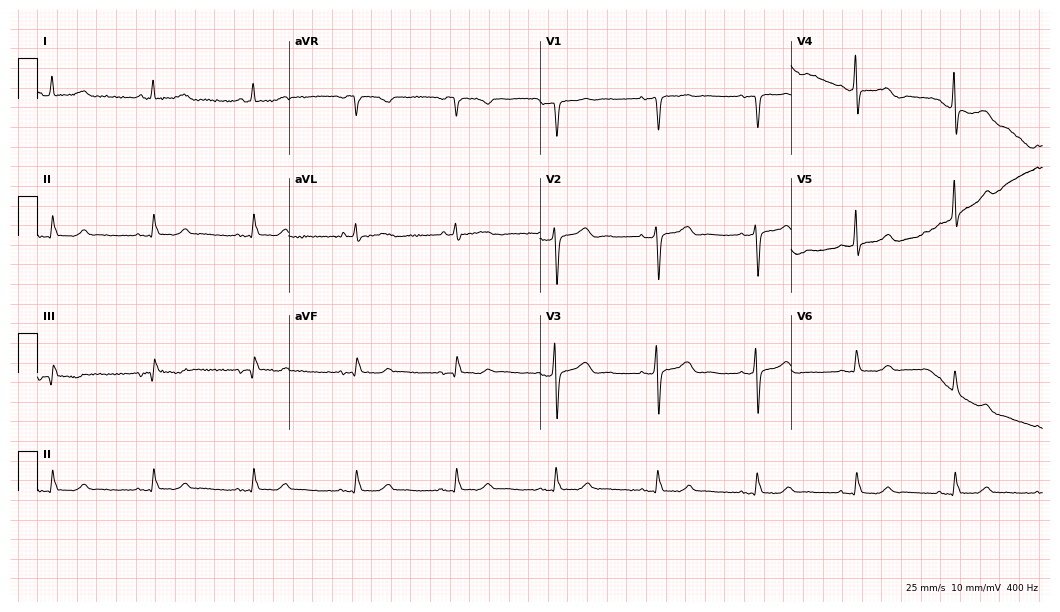
Electrocardiogram, a 75-year-old female patient. Of the six screened findings (first-degree AV block, right bundle branch block, left bundle branch block, sinus bradycardia, atrial fibrillation, sinus tachycardia), none is recorded.